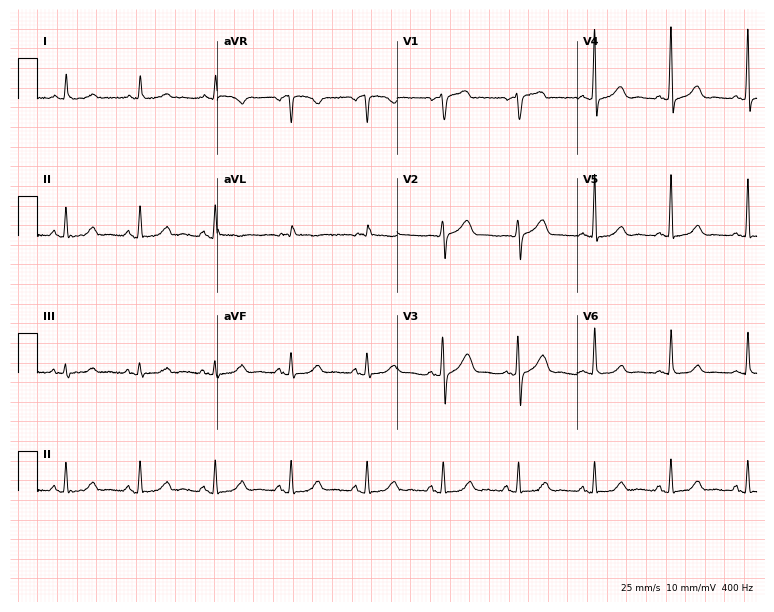
12-lead ECG (7.3-second recording at 400 Hz) from a woman, 76 years old. Screened for six findings — first-degree AV block, right bundle branch block, left bundle branch block, sinus bradycardia, atrial fibrillation, sinus tachycardia — none is recorded.